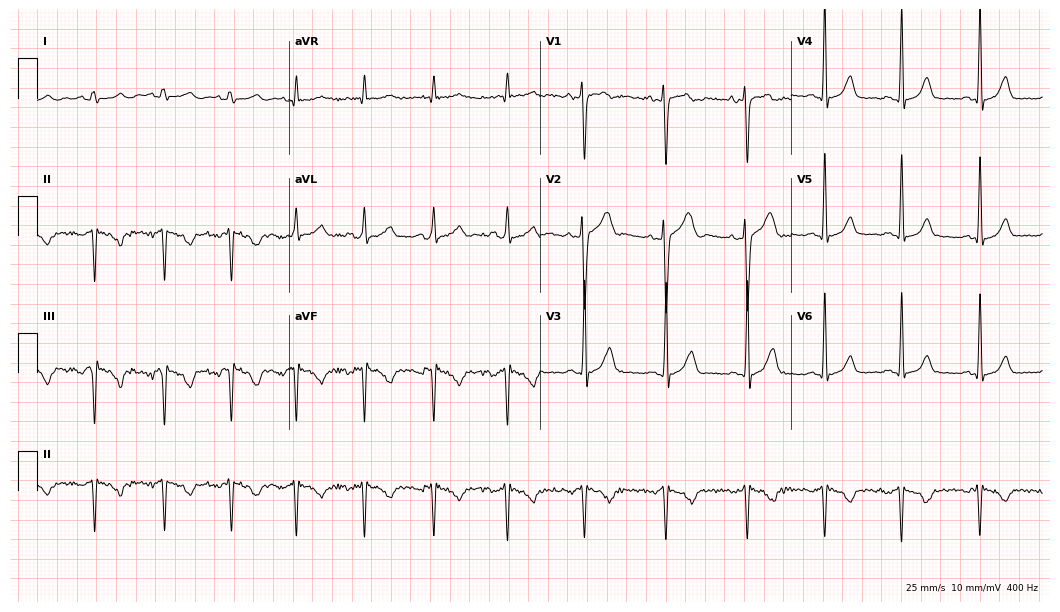
Electrocardiogram, a female, 24 years old. Of the six screened findings (first-degree AV block, right bundle branch block (RBBB), left bundle branch block (LBBB), sinus bradycardia, atrial fibrillation (AF), sinus tachycardia), none is recorded. Other findings, if any, are not listed.